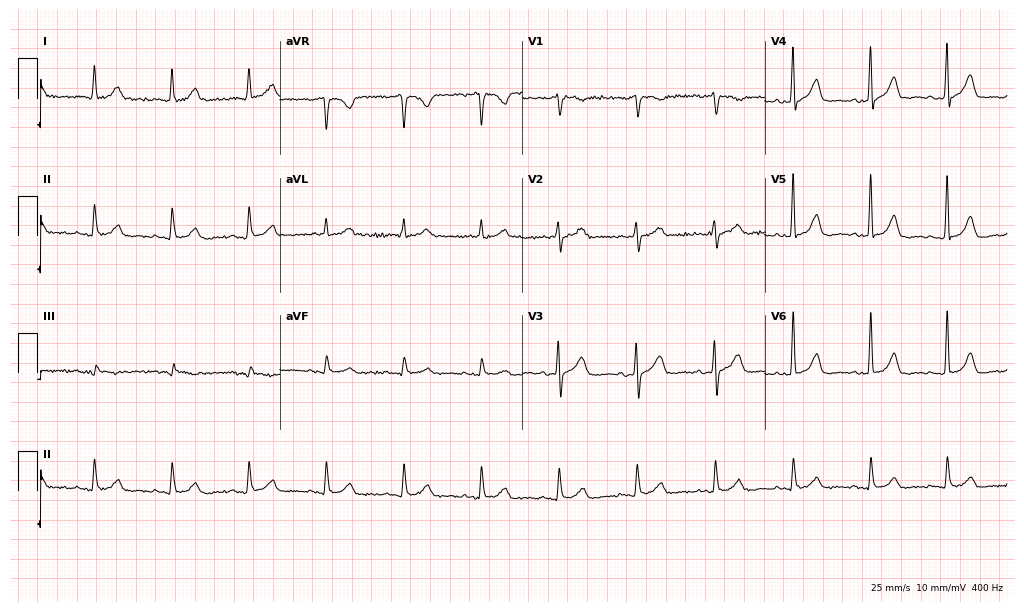
Resting 12-lead electrocardiogram (9.9-second recording at 400 Hz). Patient: a 79-year-old female. None of these six findings is recorded: first-degree AV block, right bundle branch block, left bundle branch block, sinus bradycardia, atrial fibrillation, sinus tachycardia. Only these six findings were labelled.